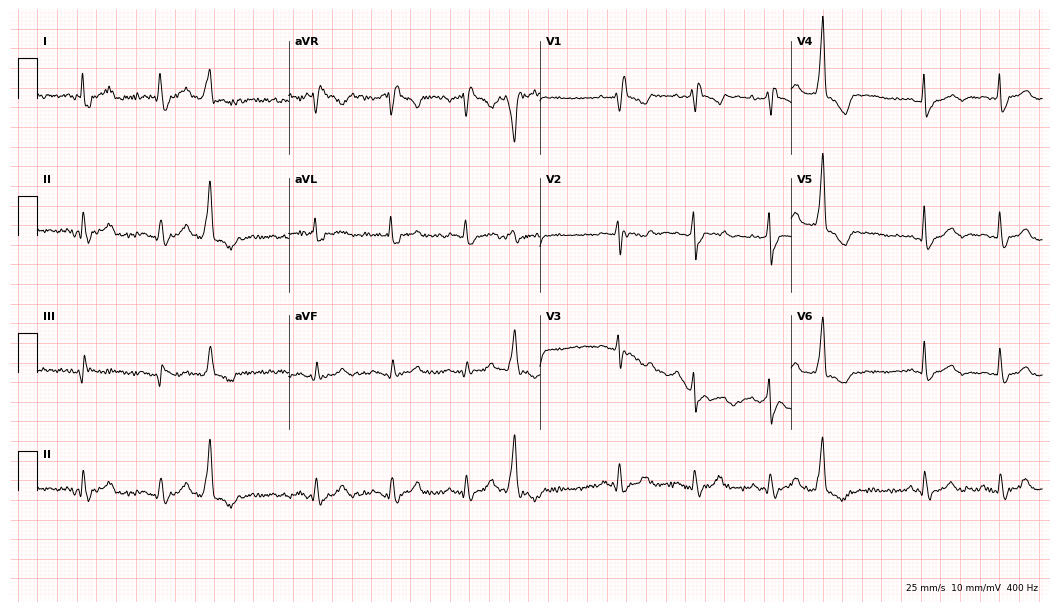
Standard 12-lead ECG recorded from an 84-year-old man. The tracing shows right bundle branch block (RBBB).